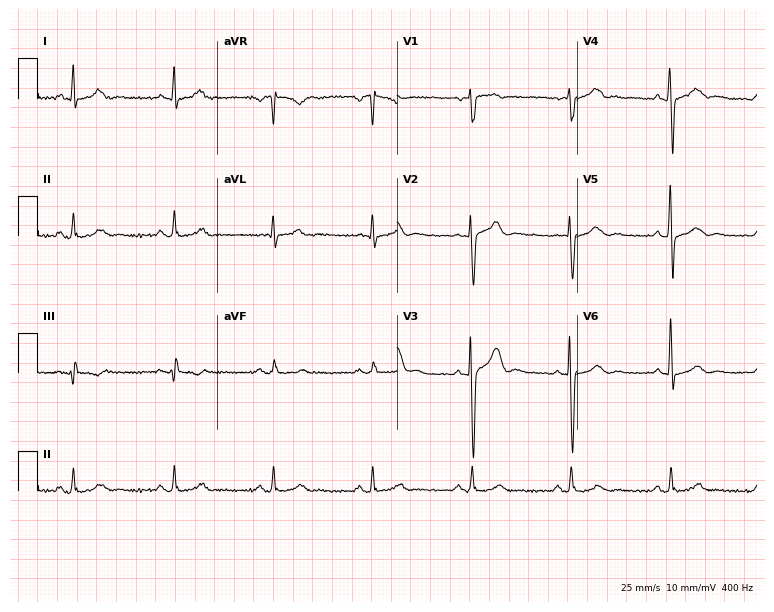
12-lead ECG from a man, 66 years old (7.3-second recording at 400 Hz). Recorded interpretation: within normal limits.